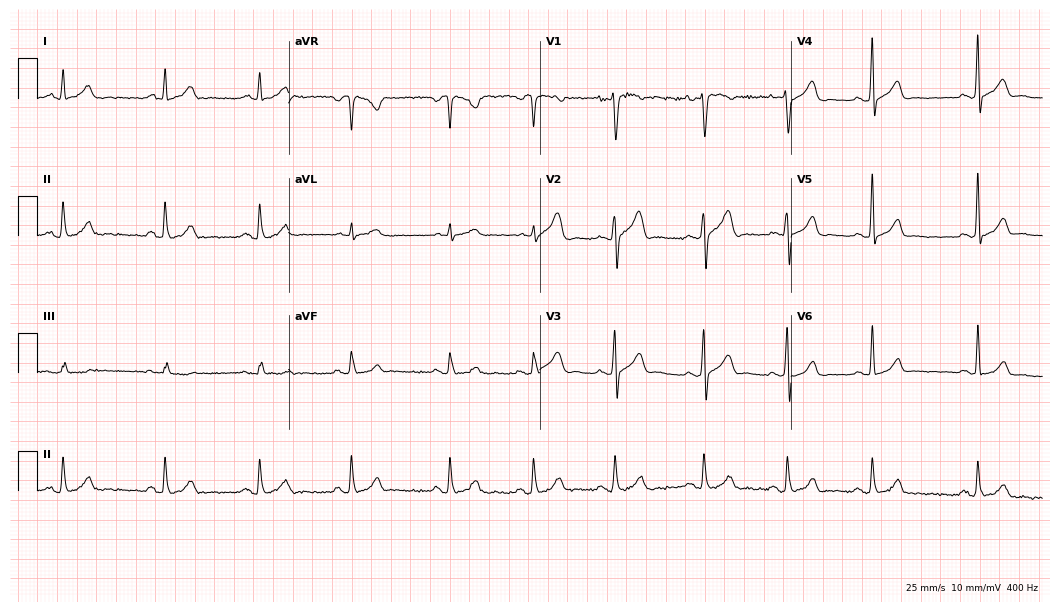
Resting 12-lead electrocardiogram. Patient: a man, 35 years old. Read as a normal ECG.